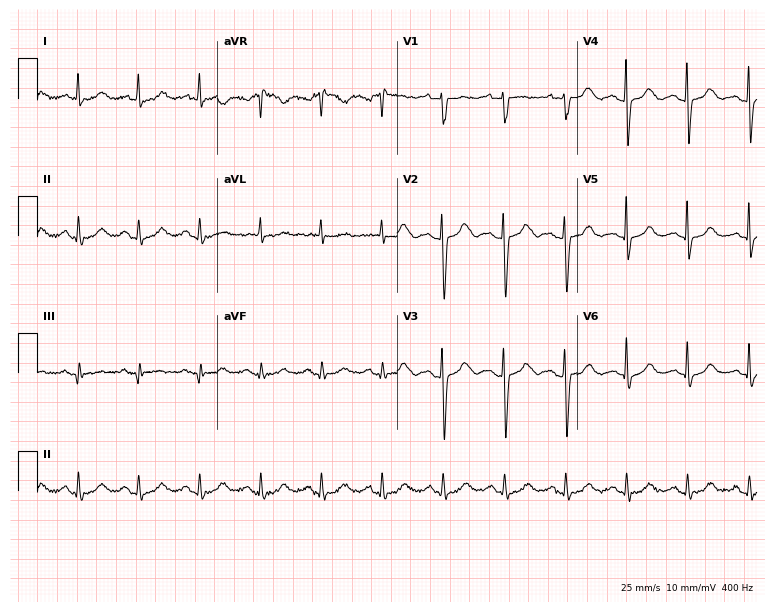
12-lead ECG (7.3-second recording at 400 Hz) from a 63-year-old woman. Screened for six findings — first-degree AV block, right bundle branch block (RBBB), left bundle branch block (LBBB), sinus bradycardia, atrial fibrillation (AF), sinus tachycardia — none is recorded.